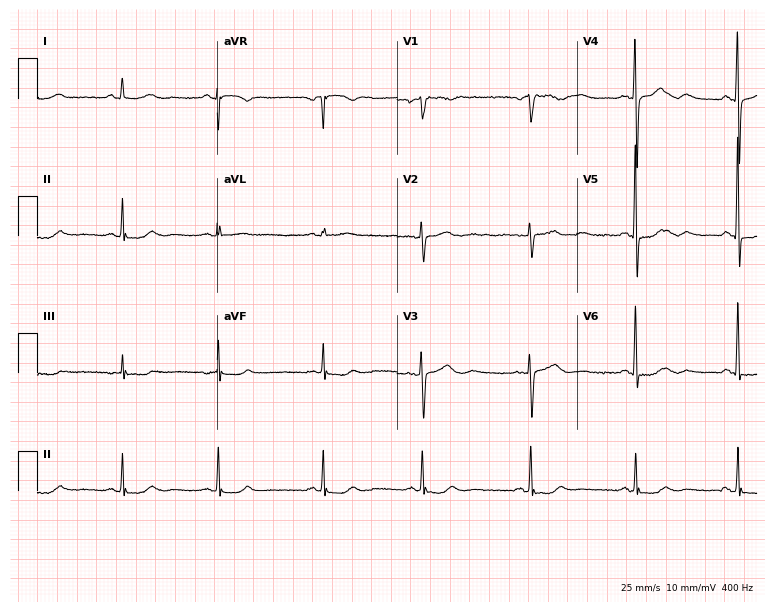
Resting 12-lead electrocardiogram. Patient: a female, 61 years old. None of these six findings is recorded: first-degree AV block, right bundle branch block, left bundle branch block, sinus bradycardia, atrial fibrillation, sinus tachycardia. Only these six findings were labelled.